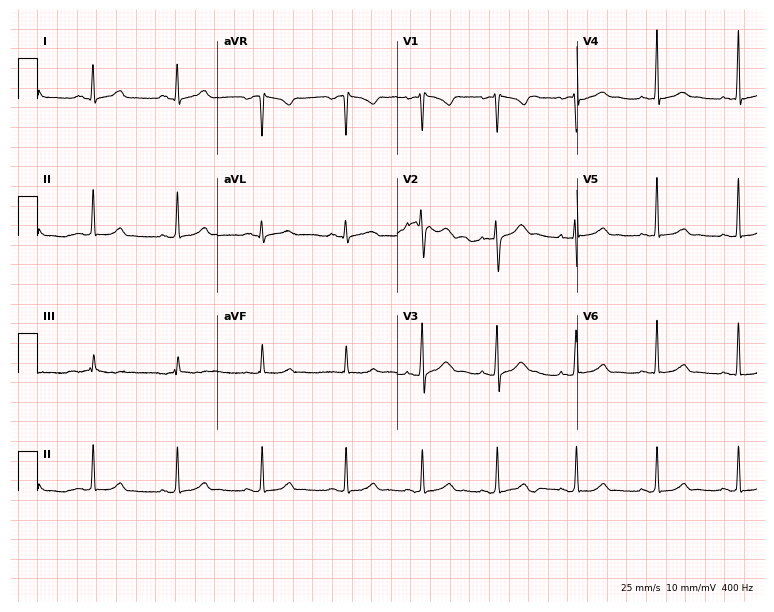
Resting 12-lead electrocardiogram (7.3-second recording at 400 Hz). Patient: a 28-year-old female. None of these six findings is recorded: first-degree AV block, right bundle branch block, left bundle branch block, sinus bradycardia, atrial fibrillation, sinus tachycardia.